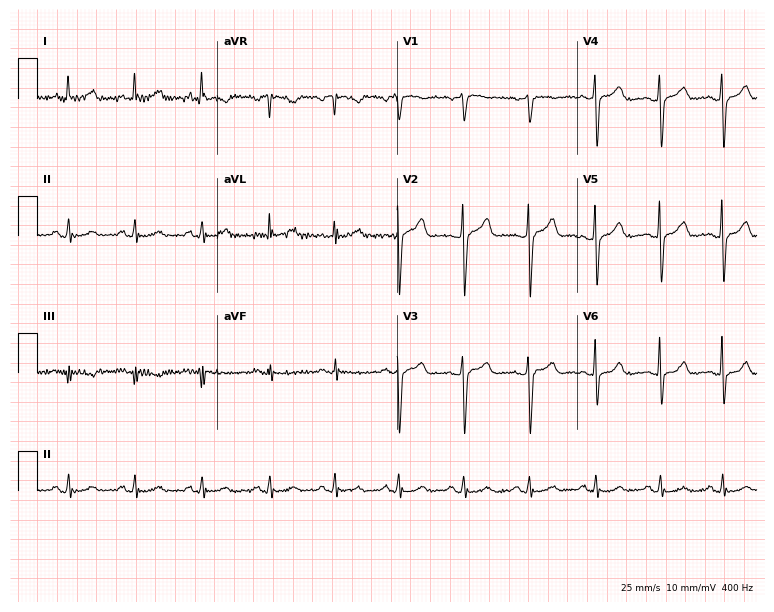
12-lead ECG from a female, 62 years old. Recorded interpretation: within normal limits.